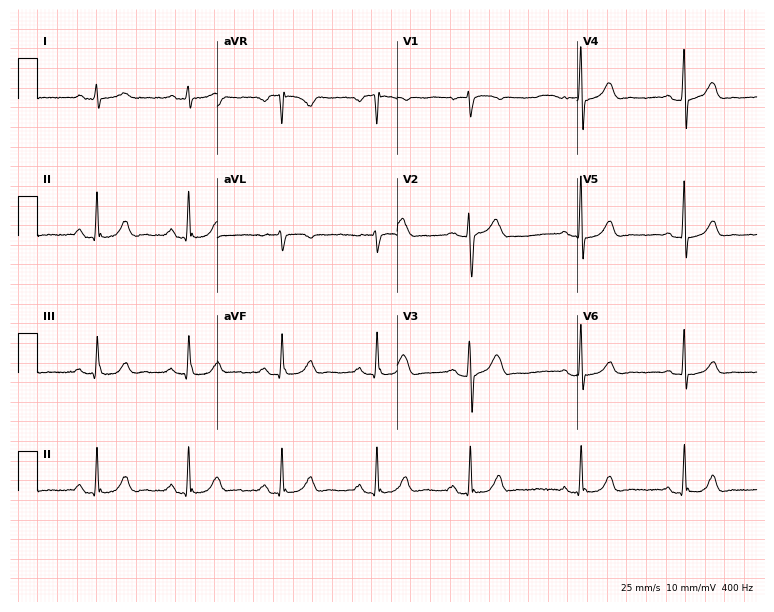
Electrocardiogram (7.3-second recording at 400 Hz), a male, 43 years old. Overall reading on record: normal ECG.